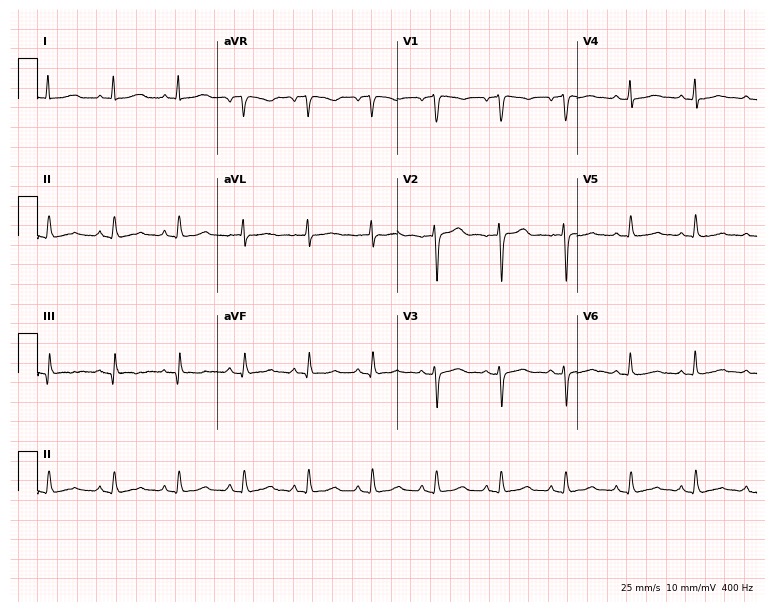
Resting 12-lead electrocardiogram. Patient: a female, 47 years old. None of these six findings is recorded: first-degree AV block, right bundle branch block, left bundle branch block, sinus bradycardia, atrial fibrillation, sinus tachycardia.